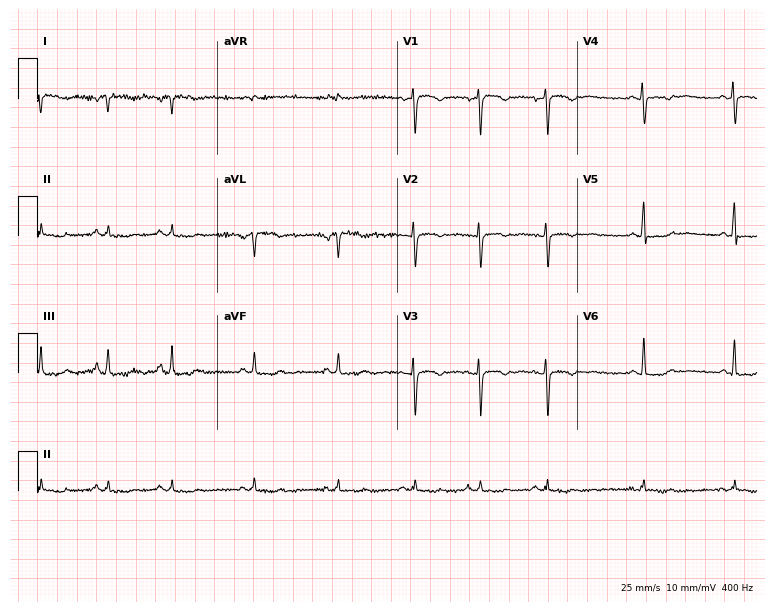
12-lead ECG from a woman, 43 years old. Screened for six findings — first-degree AV block, right bundle branch block, left bundle branch block, sinus bradycardia, atrial fibrillation, sinus tachycardia — none is recorded. Only these six findings were labelled.